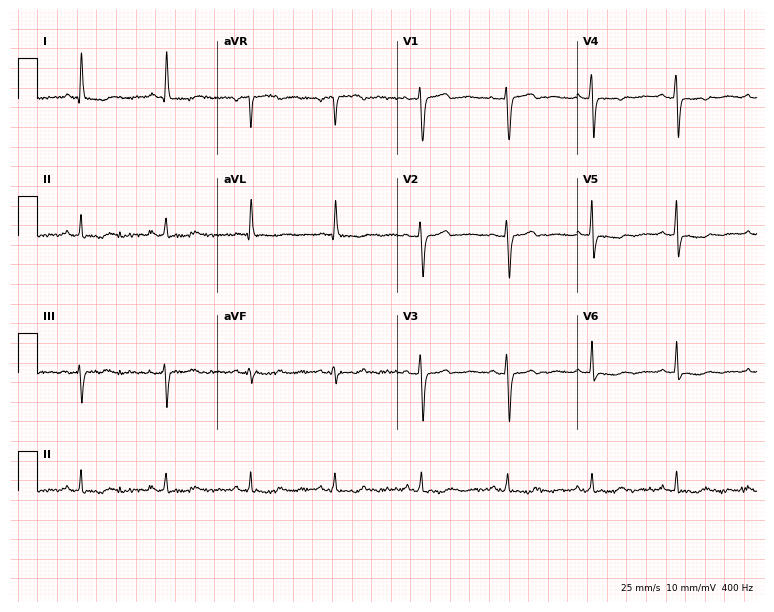
Standard 12-lead ECG recorded from a 61-year-old woman. None of these six findings is recorded: first-degree AV block, right bundle branch block (RBBB), left bundle branch block (LBBB), sinus bradycardia, atrial fibrillation (AF), sinus tachycardia. Other findings, if any, are not listed.